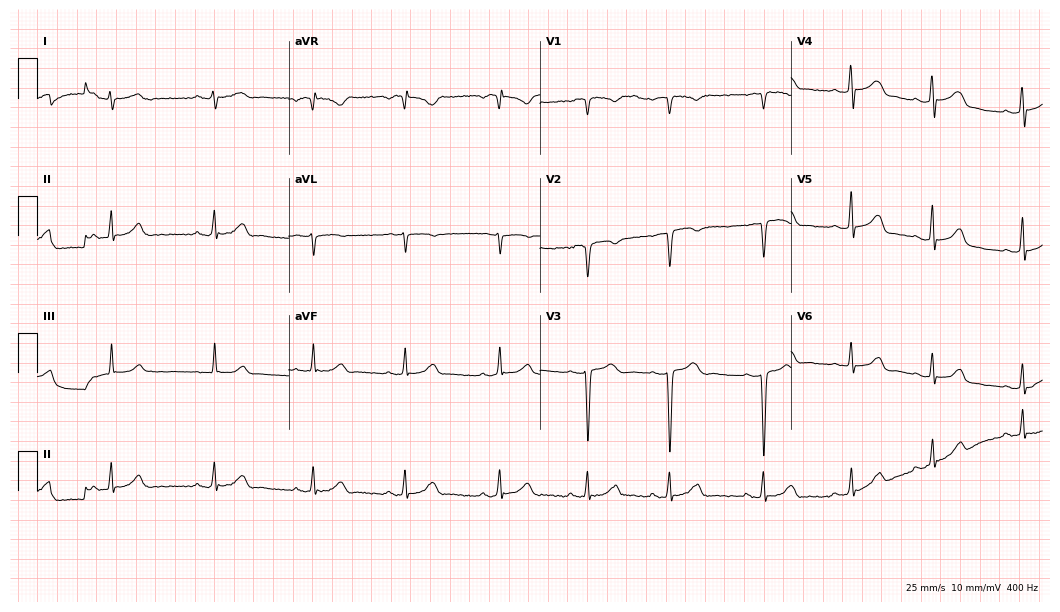
12-lead ECG from a female patient, 26 years old. Labelled as a normal ECG.